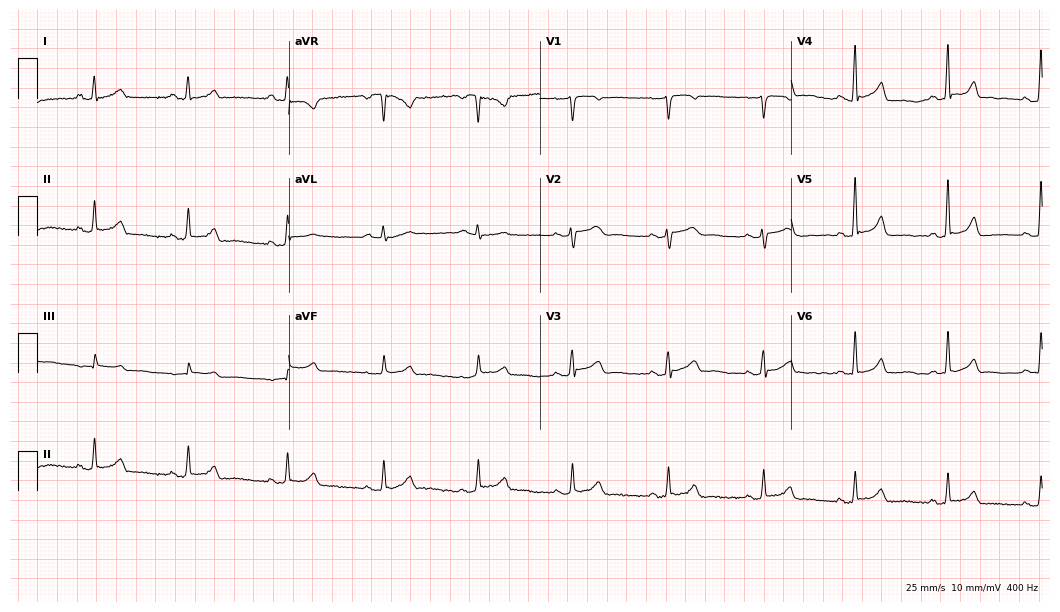
Resting 12-lead electrocardiogram (10.2-second recording at 400 Hz). Patient: a female, 37 years old. Read as a normal ECG.